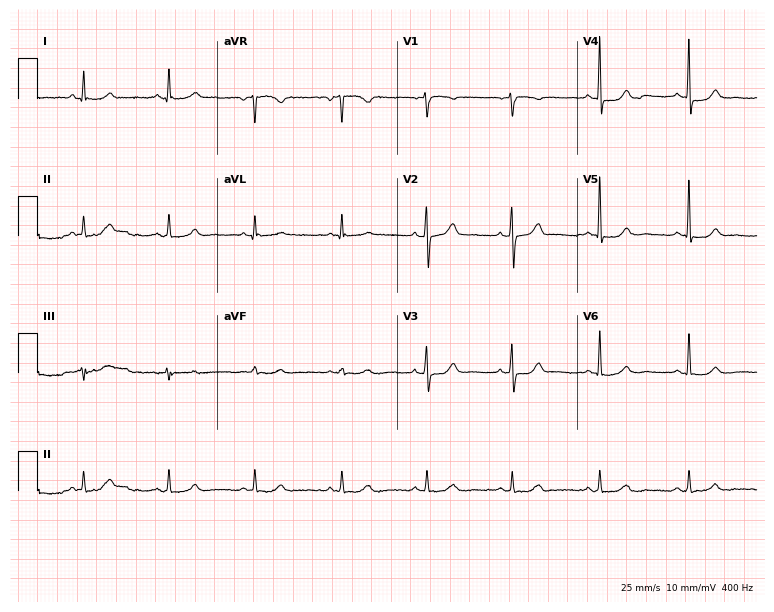
Standard 12-lead ECG recorded from a 72-year-old male. Read as a normal ECG.